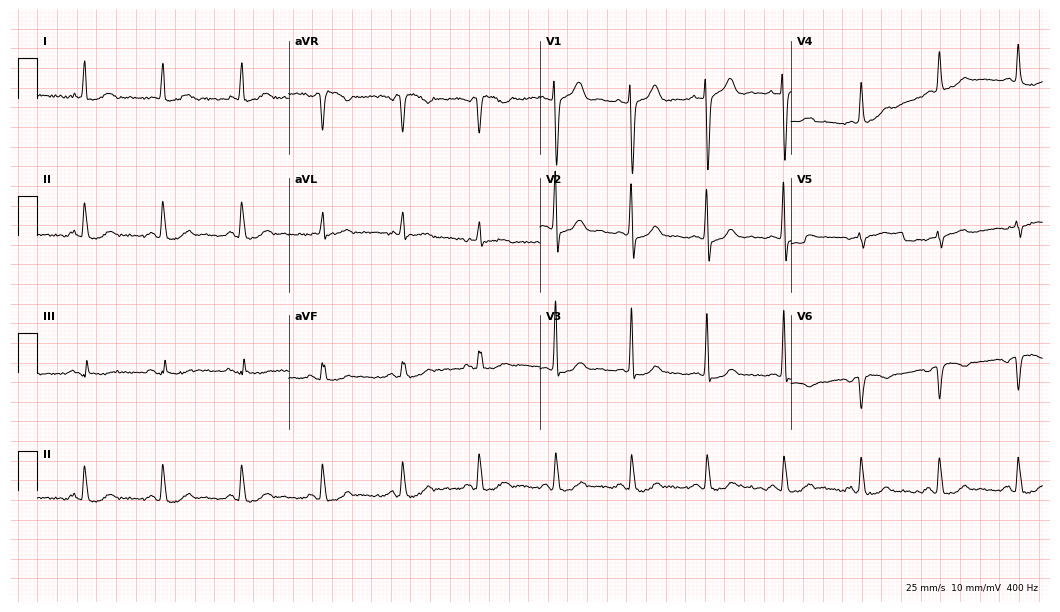
ECG (10.2-second recording at 400 Hz) — a female patient, 69 years old. Screened for six findings — first-degree AV block, right bundle branch block, left bundle branch block, sinus bradycardia, atrial fibrillation, sinus tachycardia — none is recorded. Only these six findings were labelled.